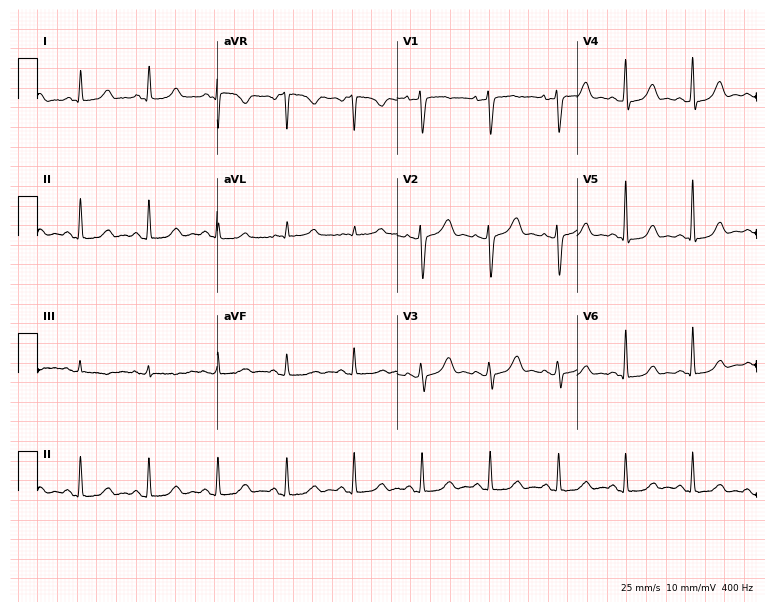
ECG (7.3-second recording at 400 Hz) — a female patient, 62 years old. Screened for six findings — first-degree AV block, right bundle branch block (RBBB), left bundle branch block (LBBB), sinus bradycardia, atrial fibrillation (AF), sinus tachycardia — none is recorded.